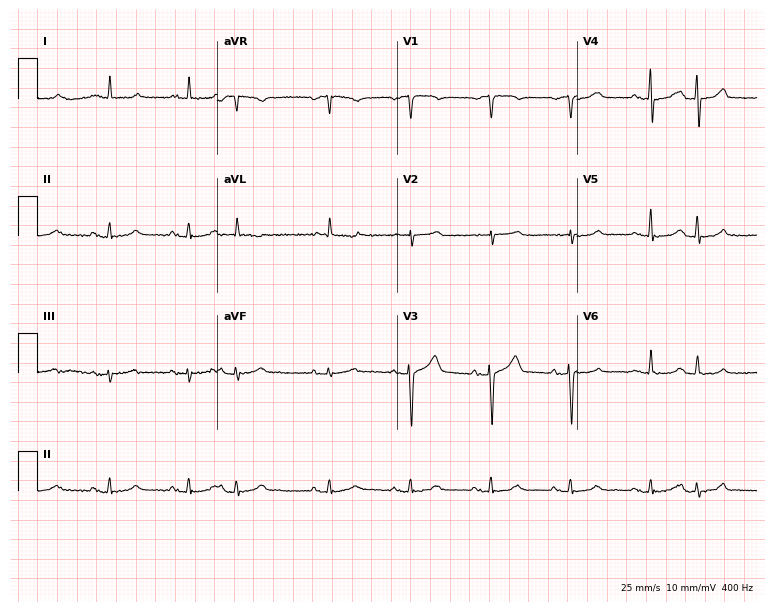
12-lead ECG (7.3-second recording at 400 Hz) from a 78-year-old man. Screened for six findings — first-degree AV block, right bundle branch block, left bundle branch block, sinus bradycardia, atrial fibrillation, sinus tachycardia — none is recorded.